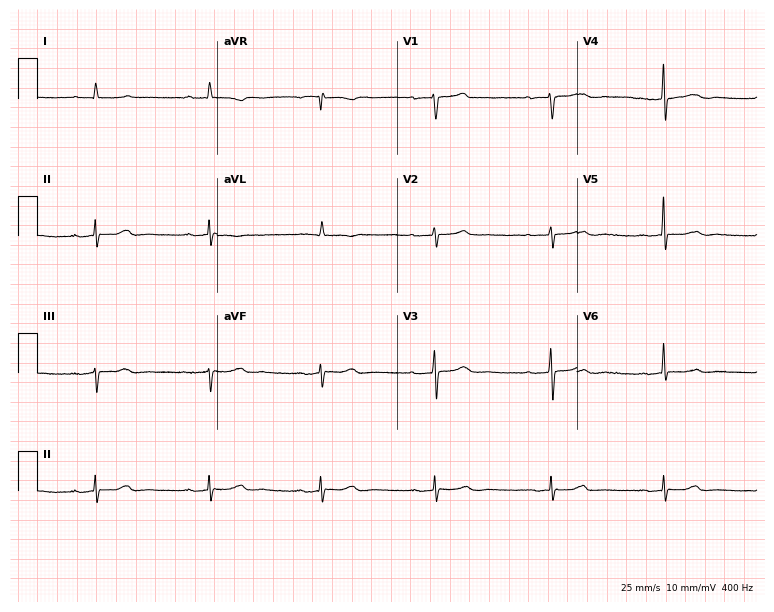
Standard 12-lead ECG recorded from a male, 85 years old (7.3-second recording at 400 Hz). The tracing shows first-degree AV block.